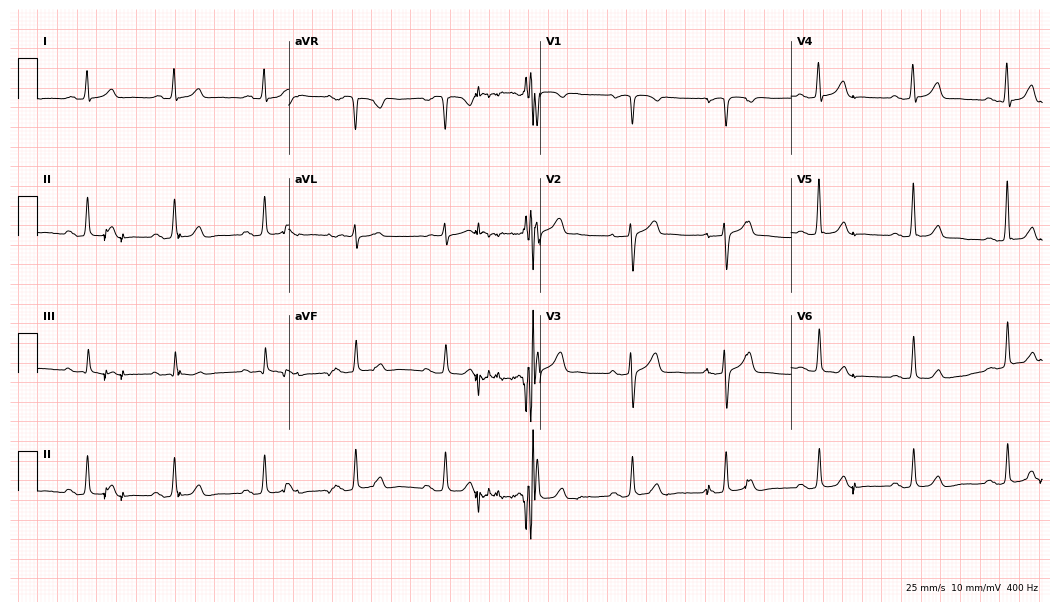
Resting 12-lead electrocardiogram. Patient: a 61-year-old man. None of these six findings is recorded: first-degree AV block, right bundle branch block, left bundle branch block, sinus bradycardia, atrial fibrillation, sinus tachycardia.